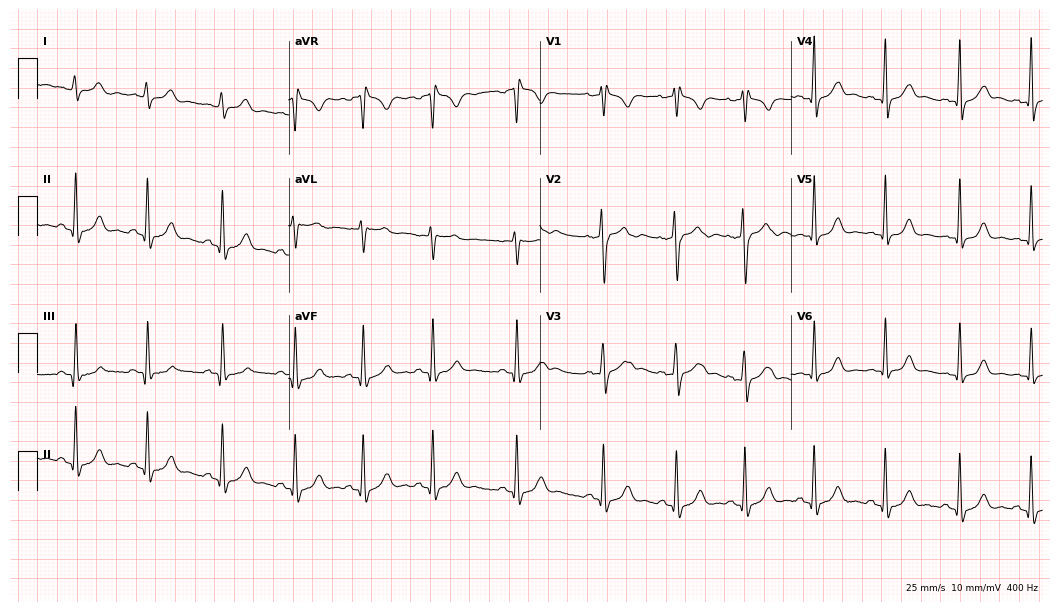
Standard 12-lead ECG recorded from a 32-year-old male. The tracing shows right bundle branch block (RBBB).